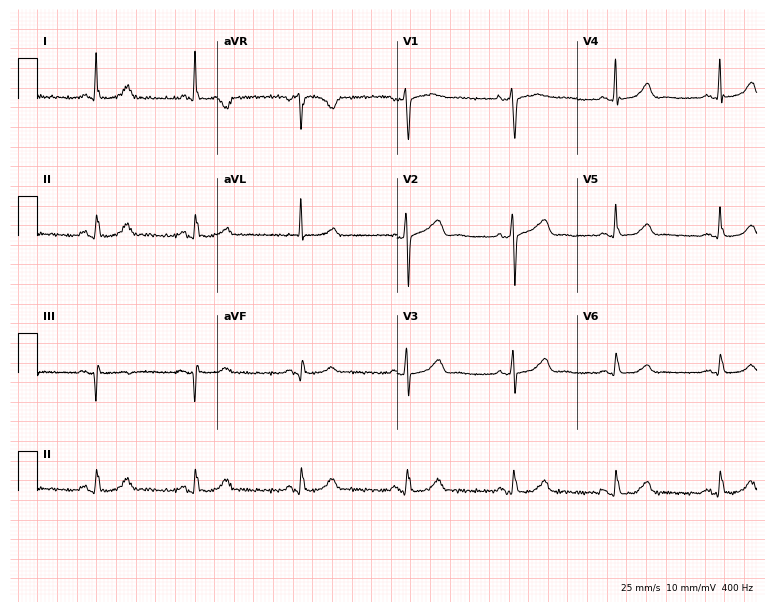
12-lead ECG (7.3-second recording at 400 Hz) from a woman, 76 years old. Labelled as a normal ECG.